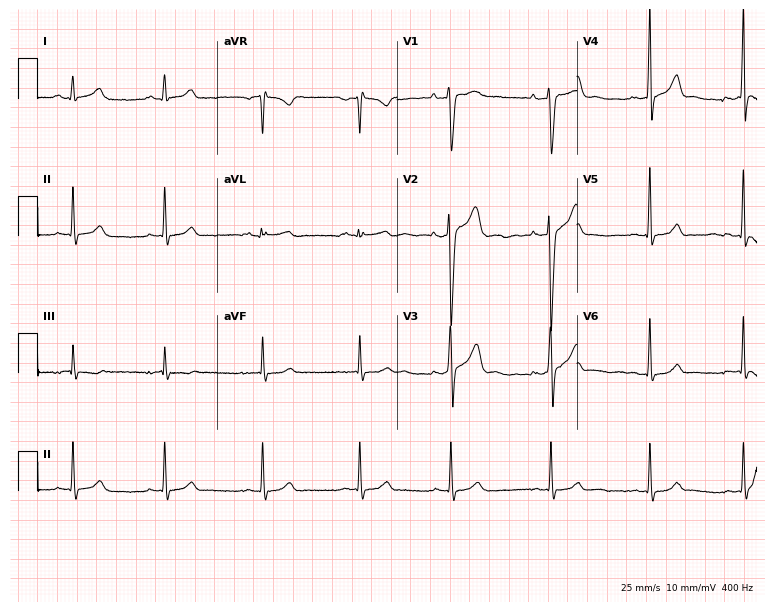
Resting 12-lead electrocardiogram. Patient: a male, 19 years old. None of these six findings is recorded: first-degree AV block, right bundle branch block (RBBB), left bundle branch block (LBBB), sinus bradycardia, atrial fibrillation (AF), sinus tachycardia.